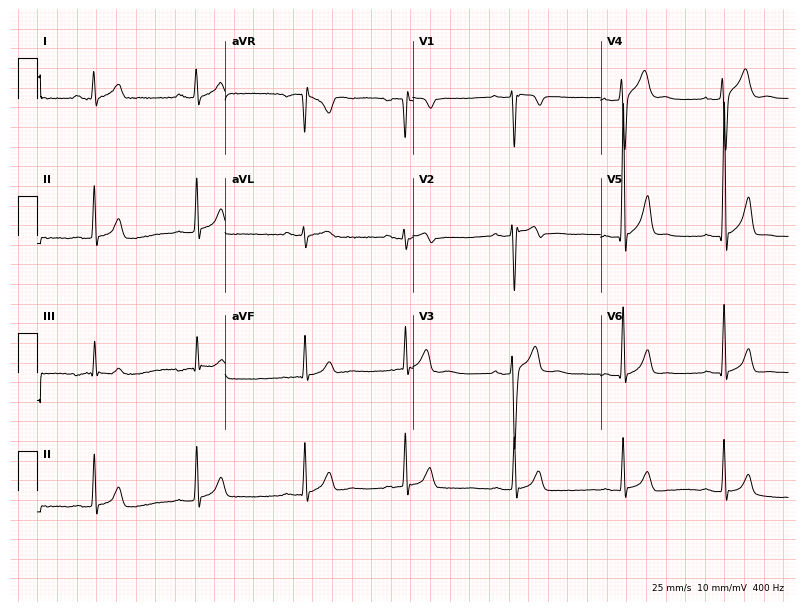
Resting 12-lead electrocardiogram (7.7-second recording at 400 Hz). Patient: a male, 26 years old. None of these six findings is recorded: first-degree AV block, right bundle branch block, left bundle branch block, sinus bradycardia, atrial fibrillation, sinus tachycardia.